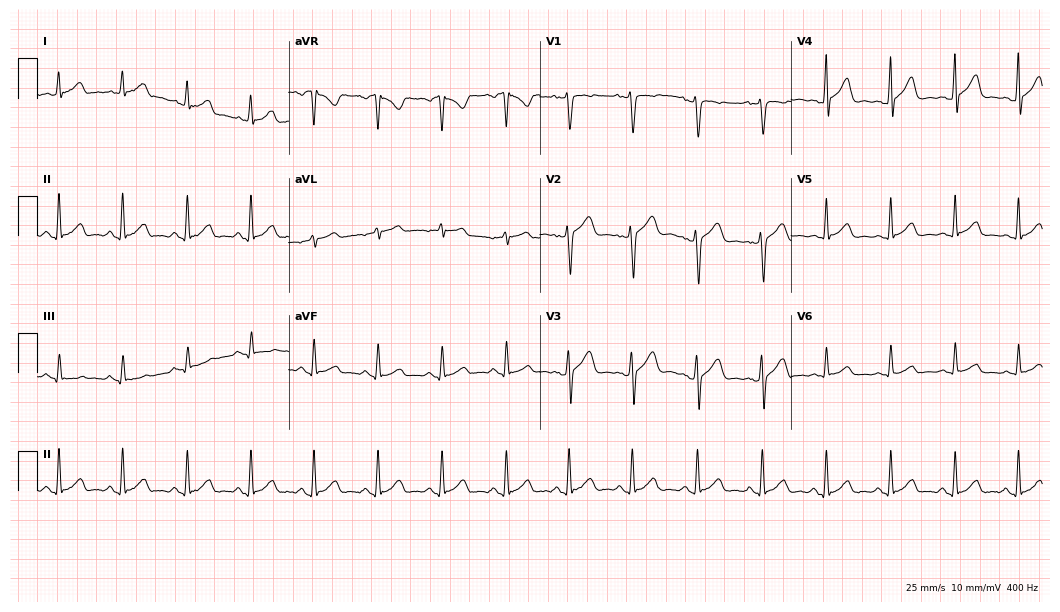
Standard 12-lead ECG recorded from a 25-year-old woman. Read as a normal ECG.